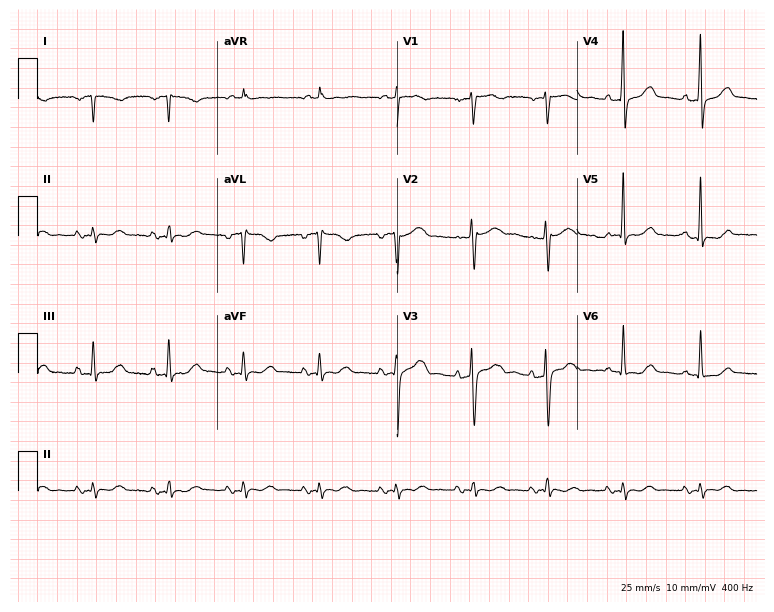
Resting 12-lead electrocardiogram. Patient: a 67-year-old female. None of these six findings is recorded: first-degree AV block, right bundle branch block, left bundle branch block, sinus bradycardia, atrial fibrillation, sinus tachycardia.